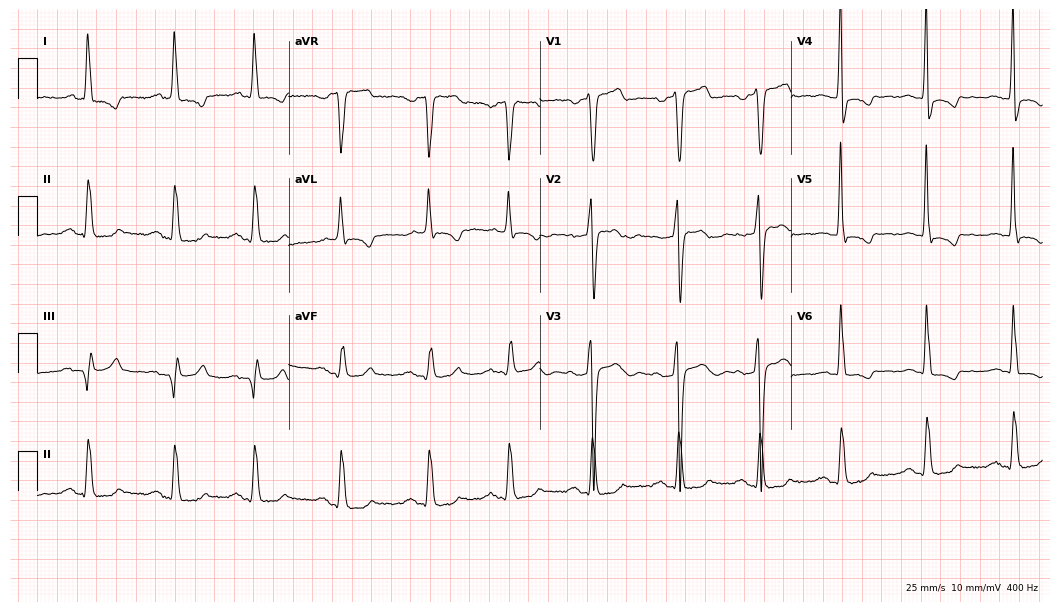
ECG (10.2-second recording at 400 Hz) — a 50-year-old female. Screened for six findings — first-degree AV block, right bundle branch block (RBBB), left bundle branch block (LBBB), sinus bradycardia, atrial fibrillation (AF), sinus tachycardia — none is recorded. Findings outside these six are not listed.